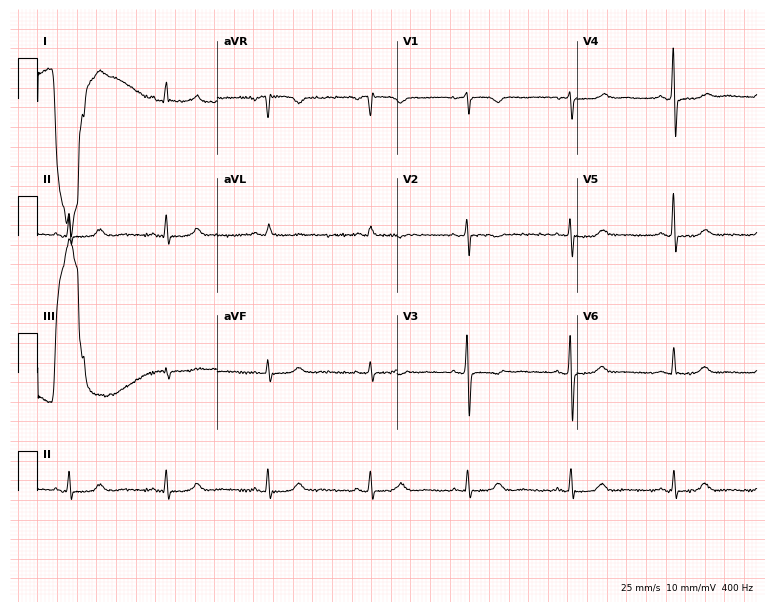
12-lead ECG from a female patient, 67 years old. Recorded interpretation: within normal limits.